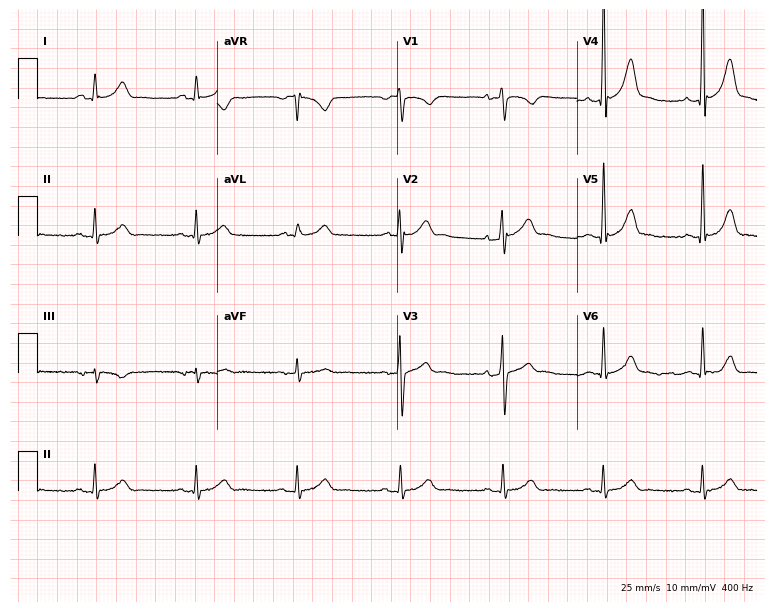
ECG — a 54-year-old male patient. Labelled as a normal ECG.